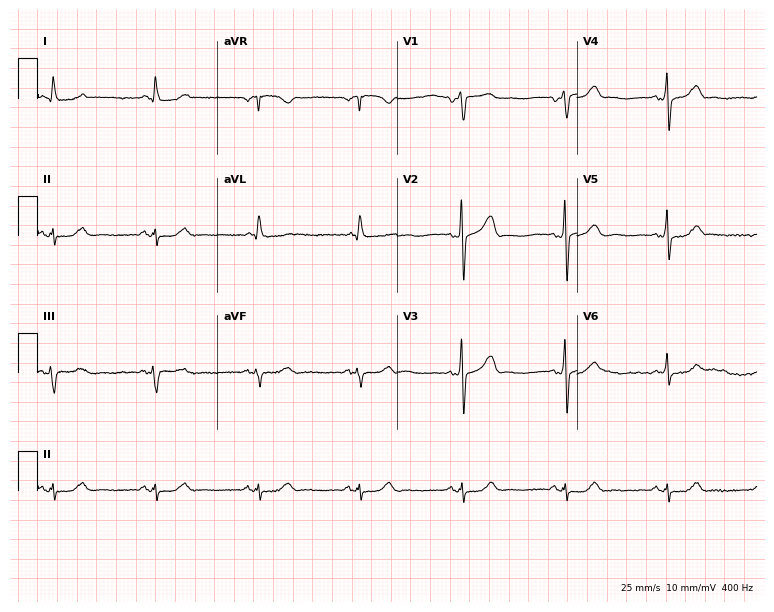
Resting 12-lead electrocardiogram (7.3-second recording at 400 Hz). Patient: a 74-year-old male. None of these six findings is recorded: first-degree AV block, right bundle branch block, left bundle branch block, sinus bradycardia, atrial fibrillation, sinus tachycardia. Only these six findings were labelled.